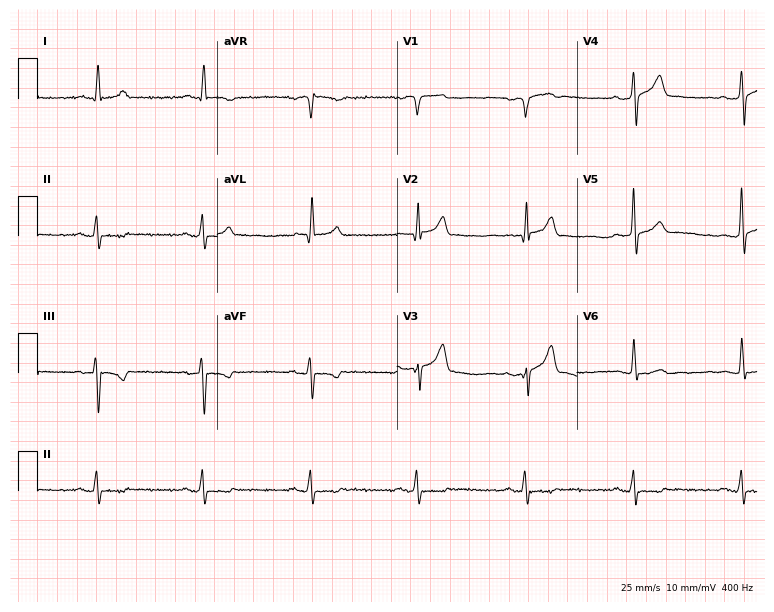
Standard 12-lead ECG recorded from a 66-year-old male (7.3-second recording at 400 Hz). None of these six findings is recorded: first-degree AV block, right bundle branch block, left bundle branch block, sinus bradycardia, atrial fibrillation, sinus tachycardia.